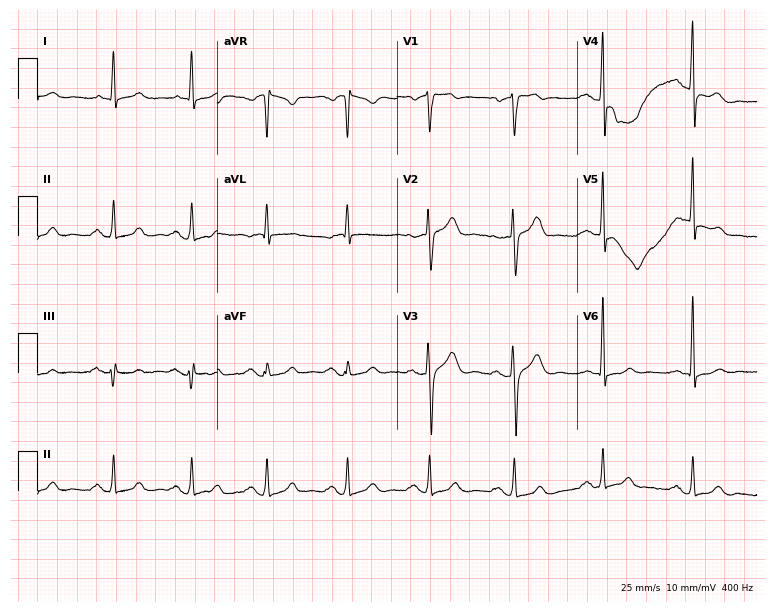
Standard 12-lead ECG recorded from a 44-year-old male patient (7.3-second recording at 400 Hz). None of these six findings is recorded: first-degree AV block, right bundle branch block, left bundle branch block, sinus bradycardia, atrial fibrillation, sinus tachycardia. Other findings, if any, are not listed.